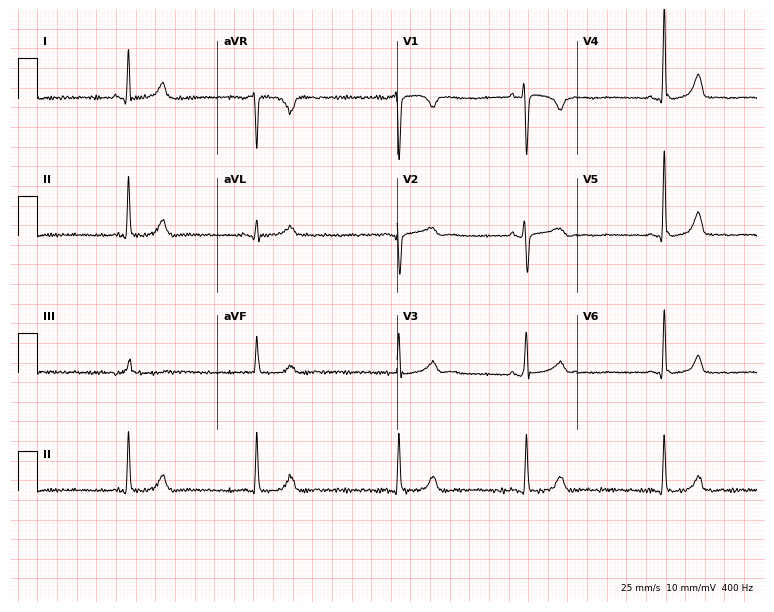
12-lead ECG (7.3-second recording at 400 Hz) from a 33-year-old woman. Findings include sinus bradycardia (a sinus rate of 50 beats per minute or less).